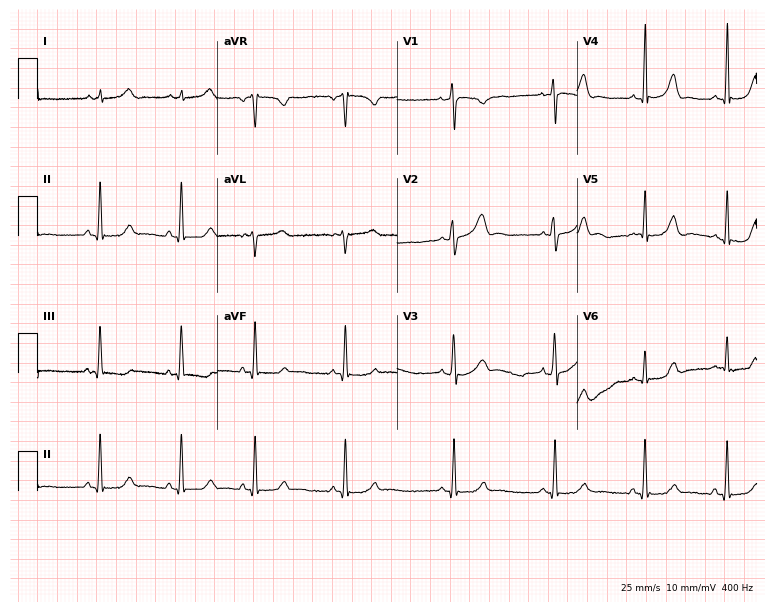
Electrocardiogram (7.3-second recording at 400 Hz), a 23-year-old woman. Overall reading on record: normal ECG.